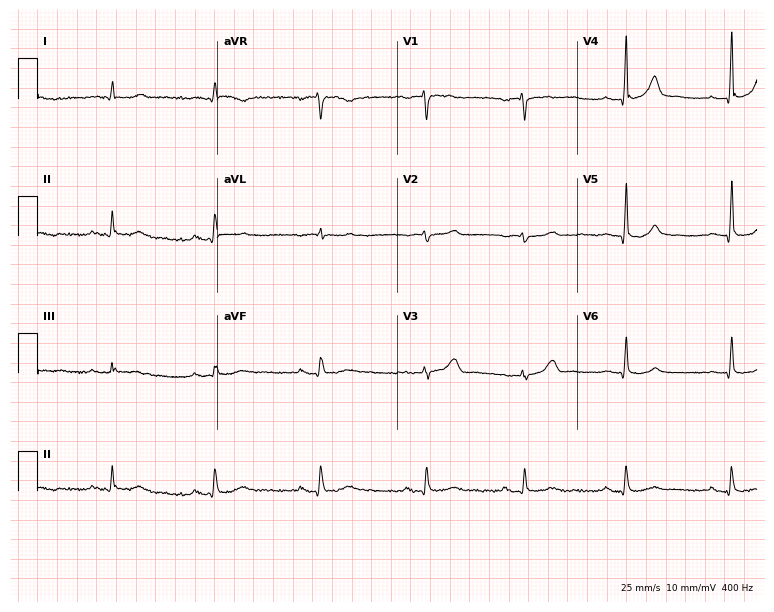
Standard 12-lead ECG recorded from a 73-year-old man. None of these six findings is recorded: first-degree AV block, right bundle branch block (RBBB), left bundle branch block (LBBB), sinus bradycardia, atrial fibrillation (AF), sinus tachycardia. Only these six findings were labelled.